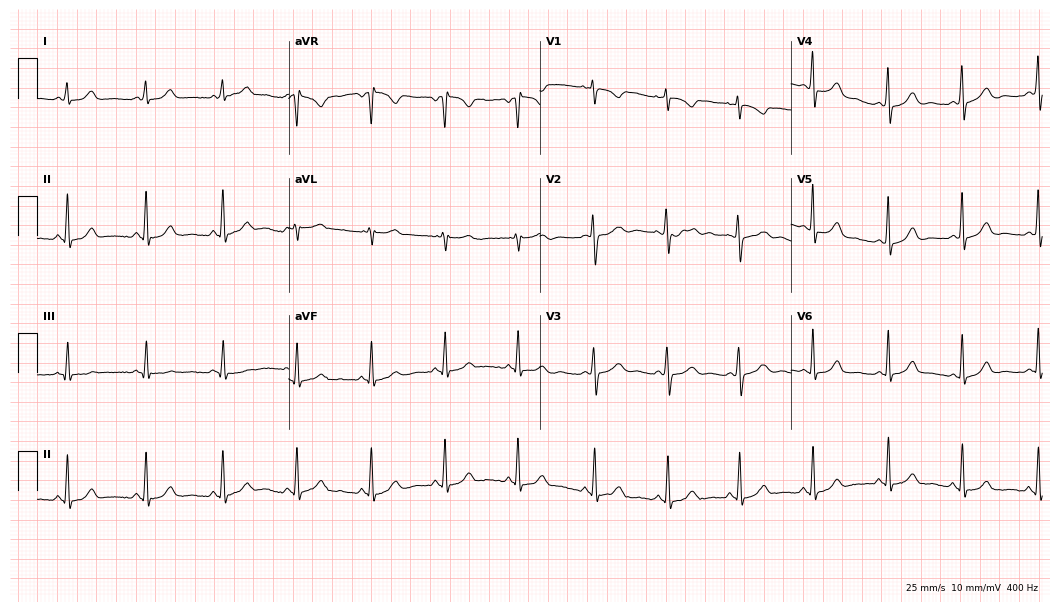
ECG (10.2-second recording at 400 Hz) — a female, 30 years old. Labelled as a normal ECG.